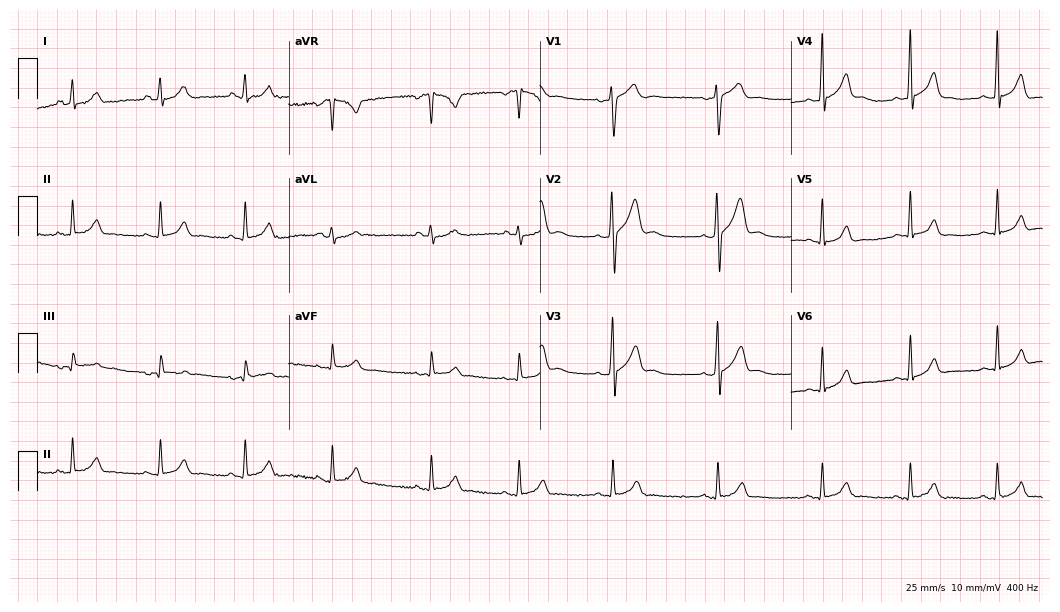
ECG (10.2-second recording at 400 Hz) — a man, 29 years old. Labelled as a normal ECG.